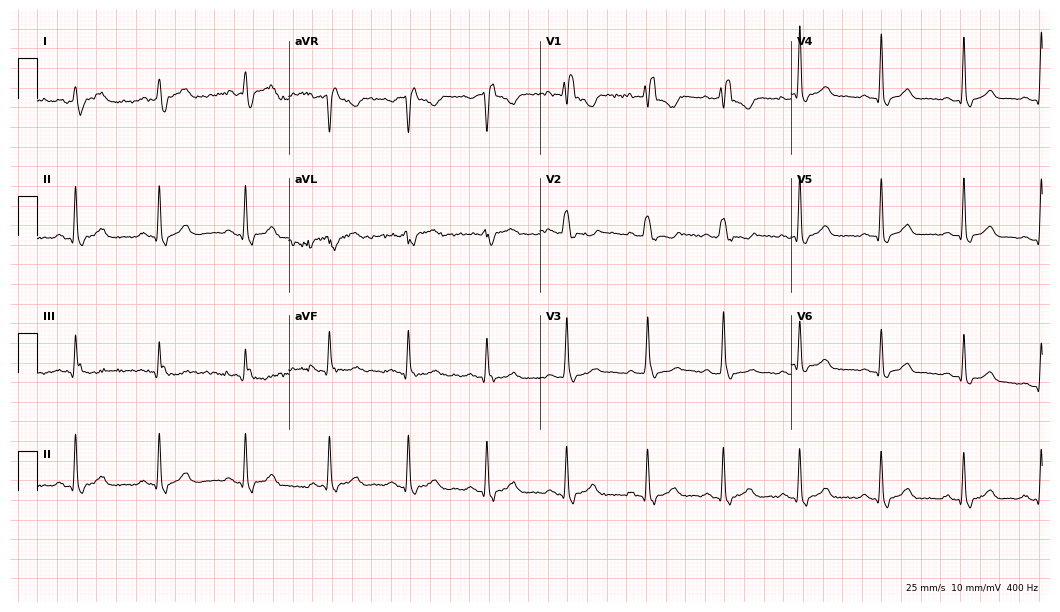
Resting 12-lead electrocardiogram. Patient: a female, 50 years old. None of these six findings is recorded: first-degree AV block, right bundle branch block (RBBB), left bundle branch block (LBBB), sinus bradycardia, atrial fibrillation (AF), sinus tachycardia.